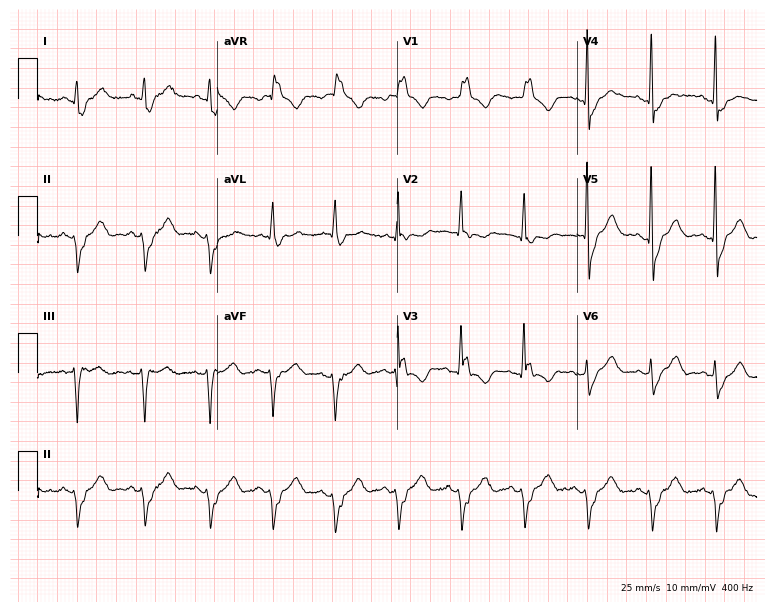
Resting 12-lead electrocardiogram (7.3-second recording at 400 Hz). Patient: a male, 74 years old. The tracing shows right bundle branch block.